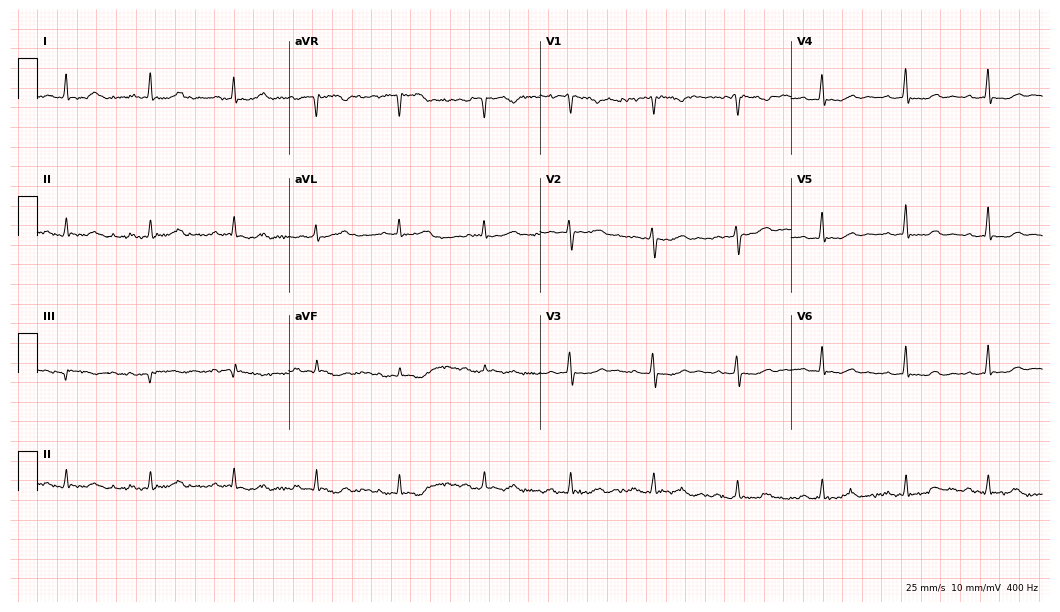
ECG (10.2-second recording at 400 Hz) — a 68-year-old female patient. Screened for six findings — first-degree AV block, right bundle branch block, left bundle branch block, sinus bradycardia, atrial fibrillation, sinus tachycardia — none is recorded.